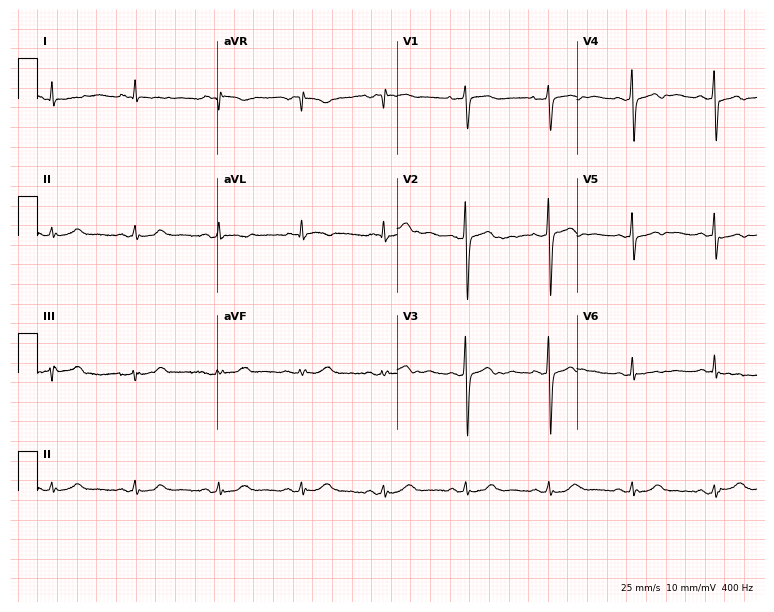
Resting 12-lead electrocardiogram. Patient: a female, 53 years old. None of these six findings is recorded: first-degree AV block, right bundle branch block, left bundle branch block, sinus bradycardia, atrial fibrillation, sinus tachycardia. Findings outside these six are not listed.